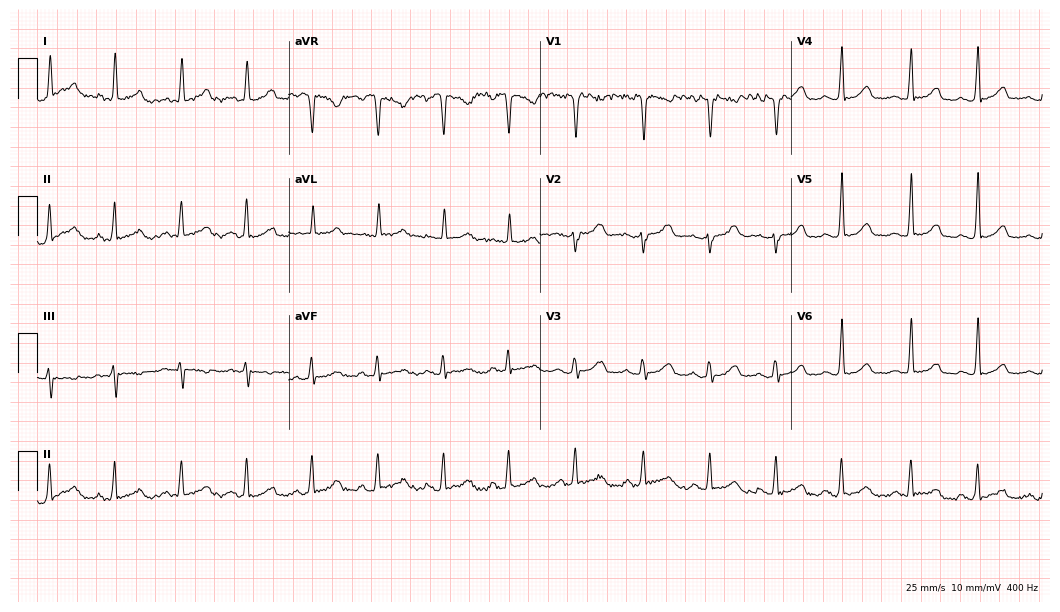
12-lead ECG (10.2-second recording at 400 Hz) from a 38-year-old female patient. Labelled as a normal ECG.